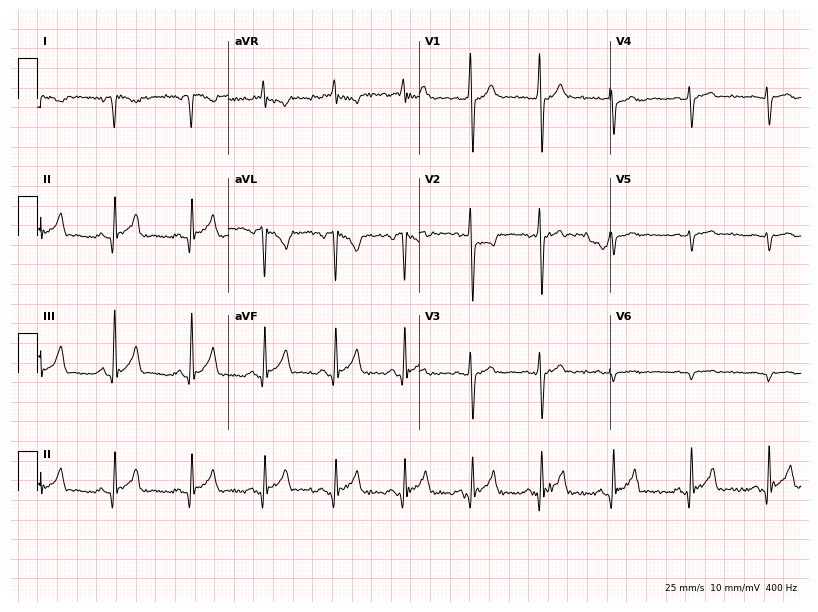
12-lead ECG from an 18-year-old man. No first-degree AV block, right bundle branch block, left bundle branch block, sinus bradycardia, atrial fibrillation or sinus tachycardia recorded for this tracing. Only these six findings were labelled.